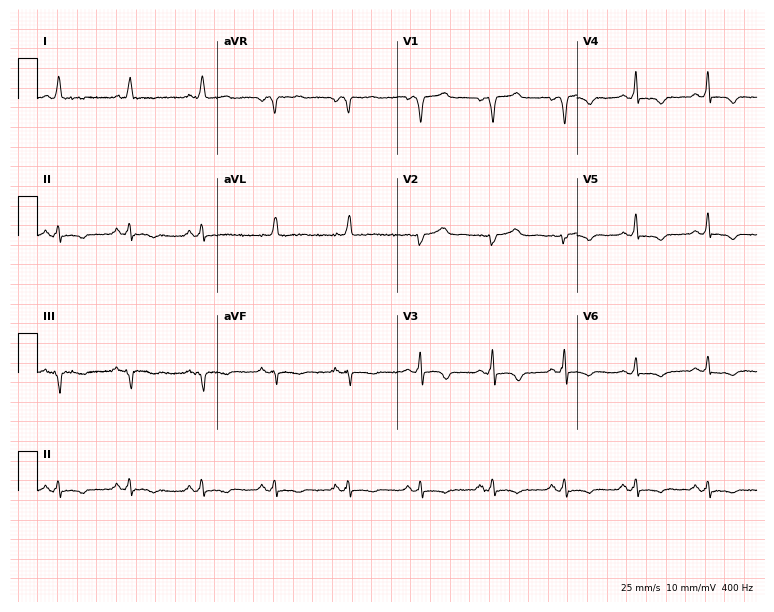
Resting 12-lead electrocardiogram. Patient: a 72-year-old woman. None of these six findings is recorded: first-degree AV block, right bundle branch block, left bundle branch block, sinus bradycardia, atrial fibrillation, sinus tachycardia.